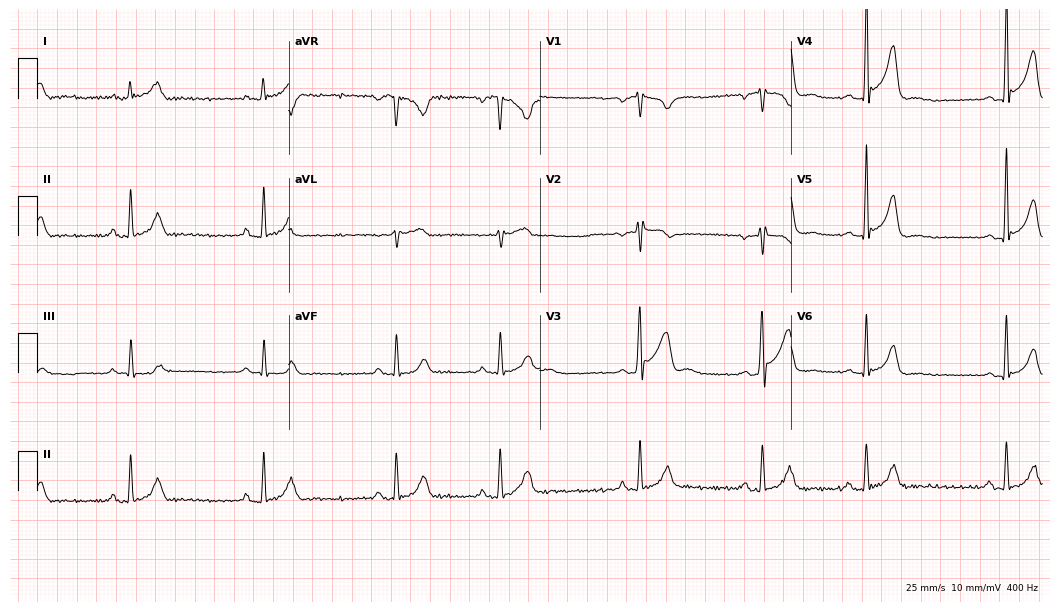
Standard 12-lead ECG recorded from a man, 22 years old. None of these six findings is recorded: first-degree AV block, right bundle branch block (RBBB), left bundle branch block (LBBB), sinus bradycardia, atrial fibrillation (AF), sinus tachycardia. Findings outside these six are not listed.